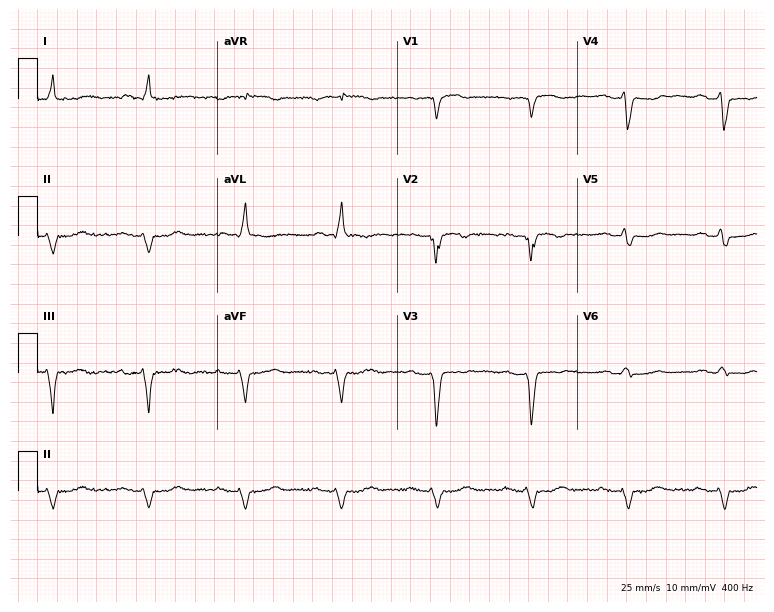
Resting 12-lead electrocardiogram (7.3-second recording at 400 Hz). Patient: a male, 80 years old. The tracing shows first-degree AV block, left bundle branch block.